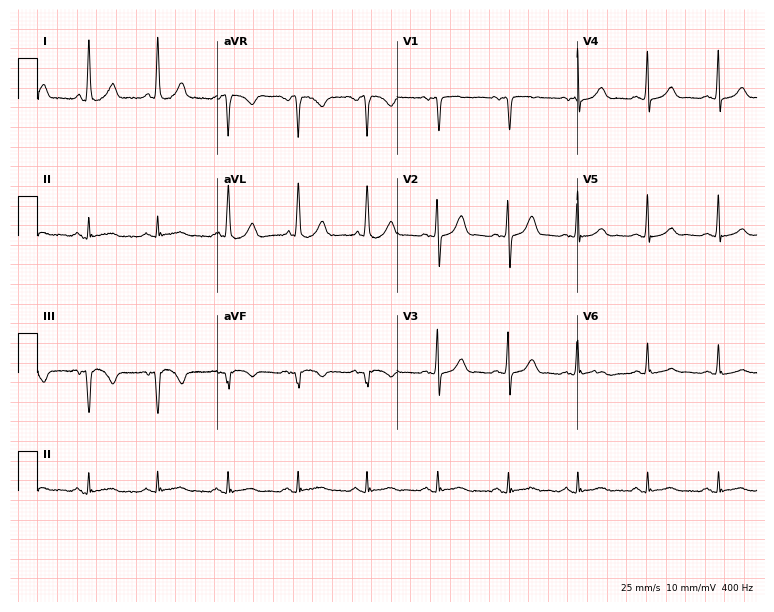
12-lead ECG from a female, 75 years old. No first-degree AV block, right bundle branch block (RBBB), left bundle branch block (LBBB), sinus bradycardia, atrial fibrillation (AF) or sinus tachycardia recorded for this tracing. Other findings, if any, are not listed.